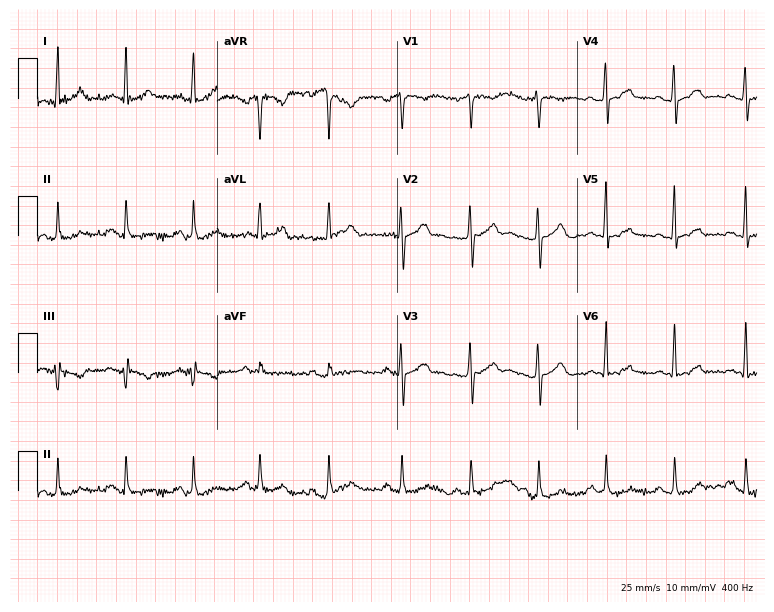
ECG — a 35-year-old female. Labelled as a normal ECG.